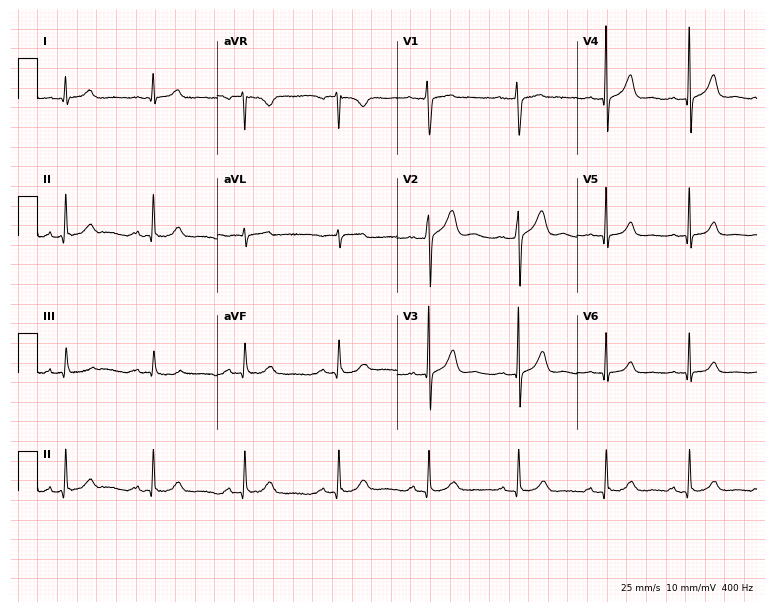
Standard 12-lead ECG recorded from a male patient, 31 years old. Read as a normal ECG.